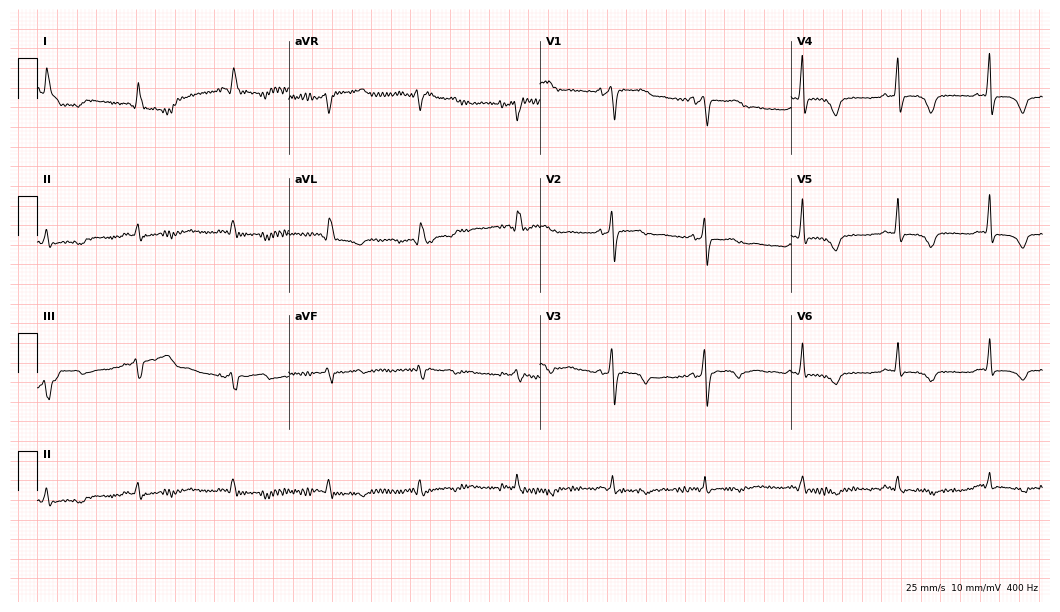
12-lead ECG (10.2-second recording at 400 Hz) from a female patient, 79 years old. Screened for six findings — first-degree AV block, right bundle branch block, left bundle branch block, sinus bradycardia, atrial fibrillation, sinus tachycardia — none is recorded. Only these six findings were labelled.